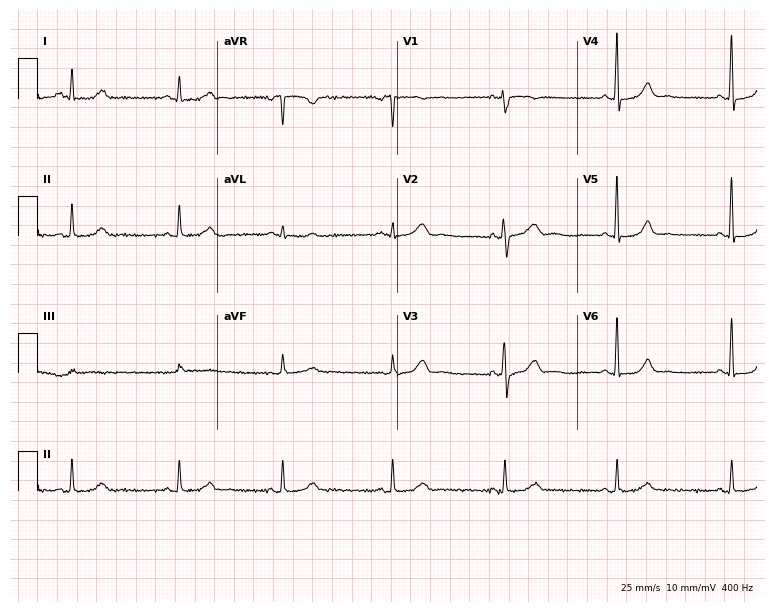
Standard 12-lead ECG recorded from a woman, 49 years old (7.3-second recording at 400 Hz). None of these six findings is recorded: first-degree AV block, right bundle branch block (RBBB), left bundle branch block (LBBB), sinus bradycardia, atrial fibrillation (AF), sinus tachycardia.